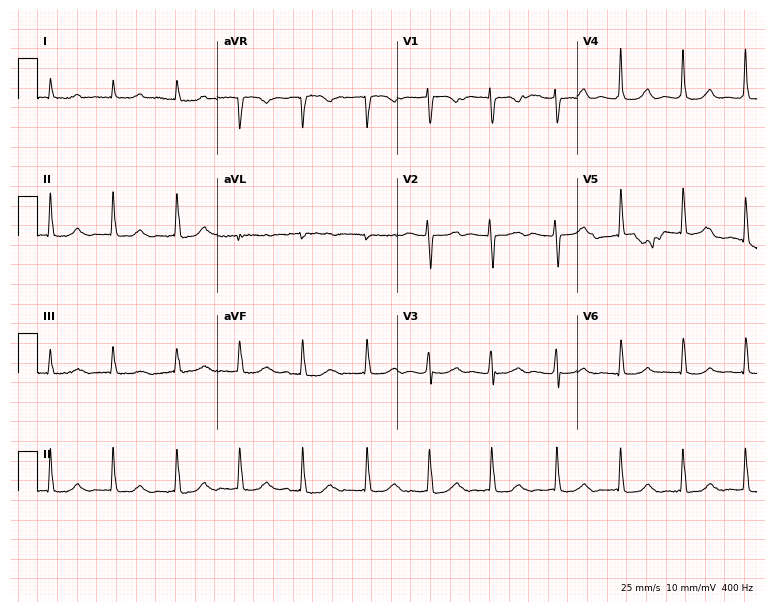
Standard 12-lead ECG recorded from a female, 70 years old. None of these six findings is recorded: first-degree AV block, right bundle branch block, left bundle branch block, sinus bradycardia, atrial fibrillation, sinus tachycardia. Other findings, if any, are not listed.